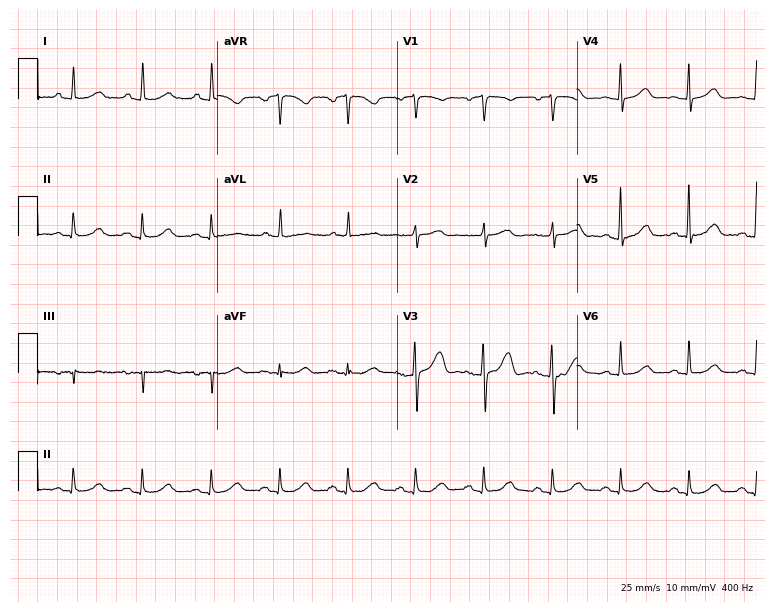
12-lead ECG (7.3-second recording at 400 Hz) from a woman, 65 years old. Screened for six findings — first-degree AV block, right bundle branch block (RBBB), left bundle branch block (LBBB), sinus bradycardia, atrial fibrillation (AF), sinus tachycardia — none is recorded. Only these six findings were labelled.